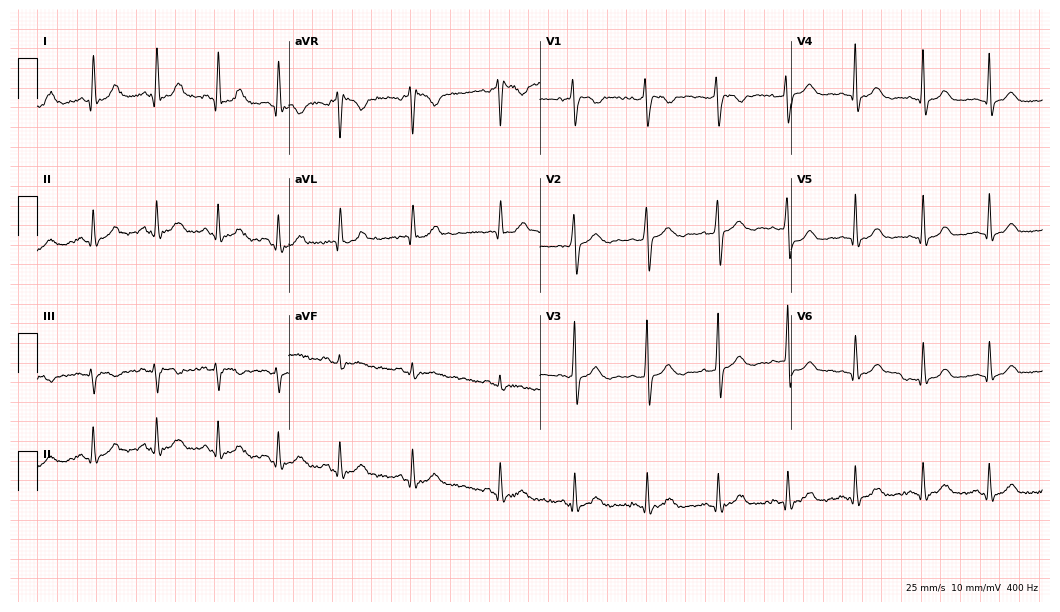
ECG (10.2-second recording at 400 Hz) — a 30-year-old female. Screened for six findings — first-degree AV block, right bundle branch block (RBBB), left bundle branch block (LBBB), sinus bradycardia, atrial fibrillation (AF), sinus tachycardia — none is recorded. Other findings, if any, are not listed.